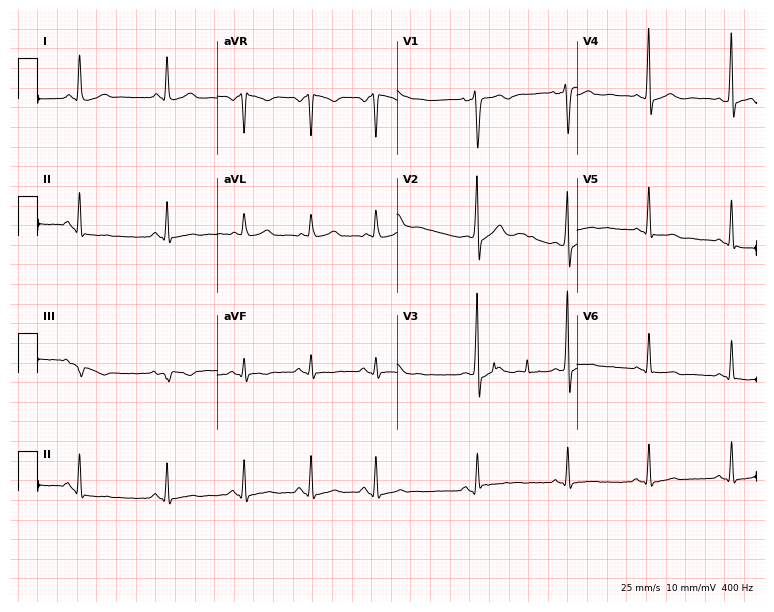
12-lead ECG from a man, 29 years old. No first-degree AV block, right bundle branch block (RBBB), left bundle branch block (LBBB), sinus bradycardia, atrial fibrillation (AF) or sinus tachycardia recorded for this tracing. Other findings, if any, are not listed.